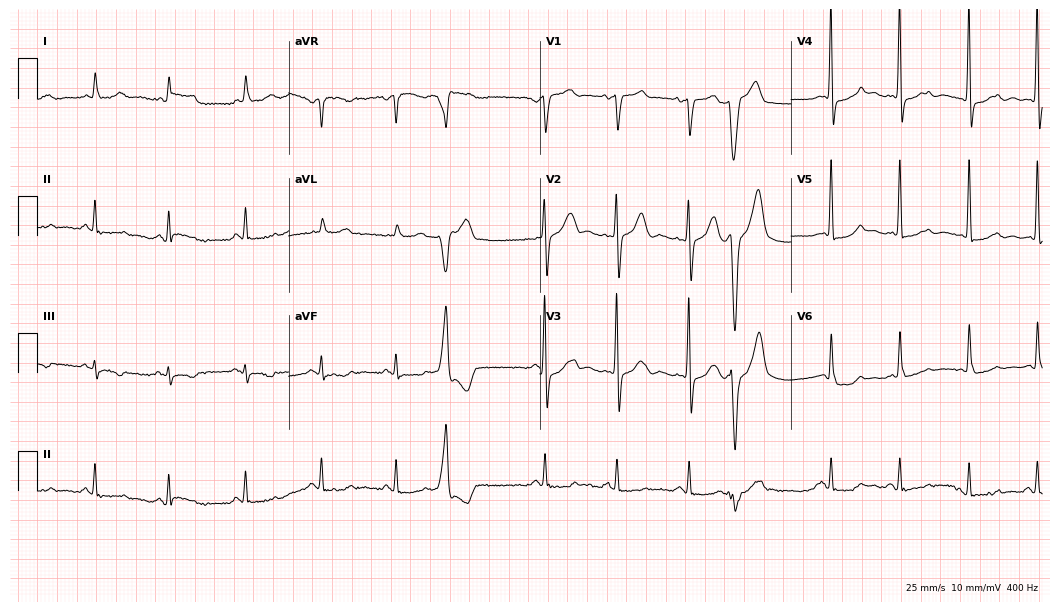
Standard 12-lead ECG recorded from a female patient, 85 years old (10.2-second recording at 400 Hz). None of these six findings is recorded: first-degree AV block, right bundle branch block (RBBB), left bundle branch block (LBBB), sinus bradycardia, atrial fibrillation (AF), sinus tachycardia.